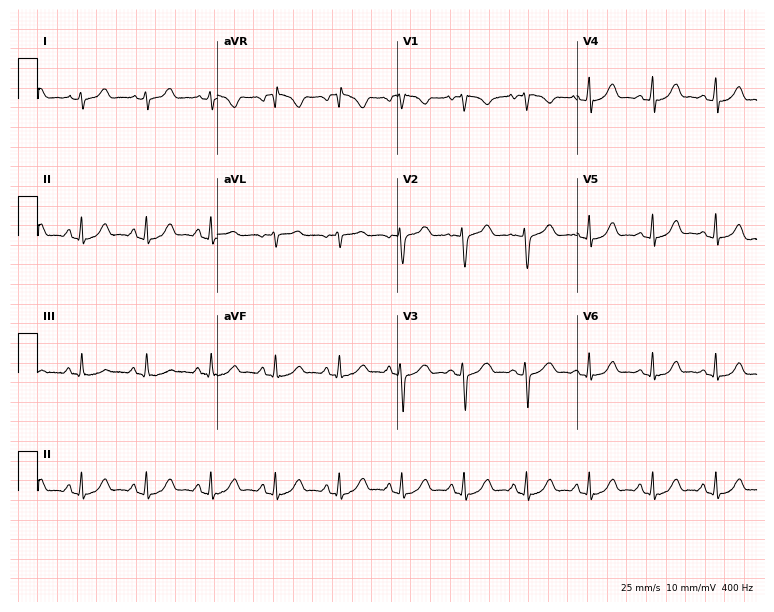
Resting 12-lead electrocardiogram. Patient: a female, 20 years old. Read as a normal ECG.